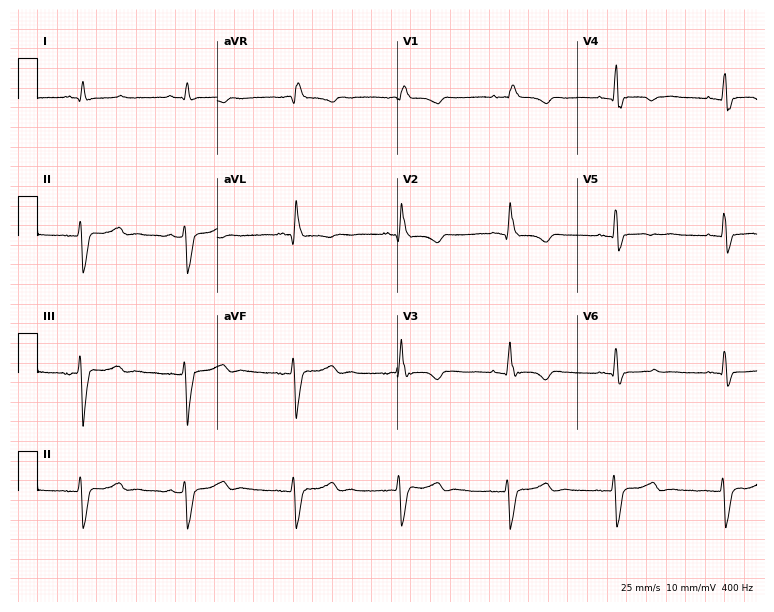
Electrocardiogram, a 51-year-old woman. Interpretation includes right bundle branch block.